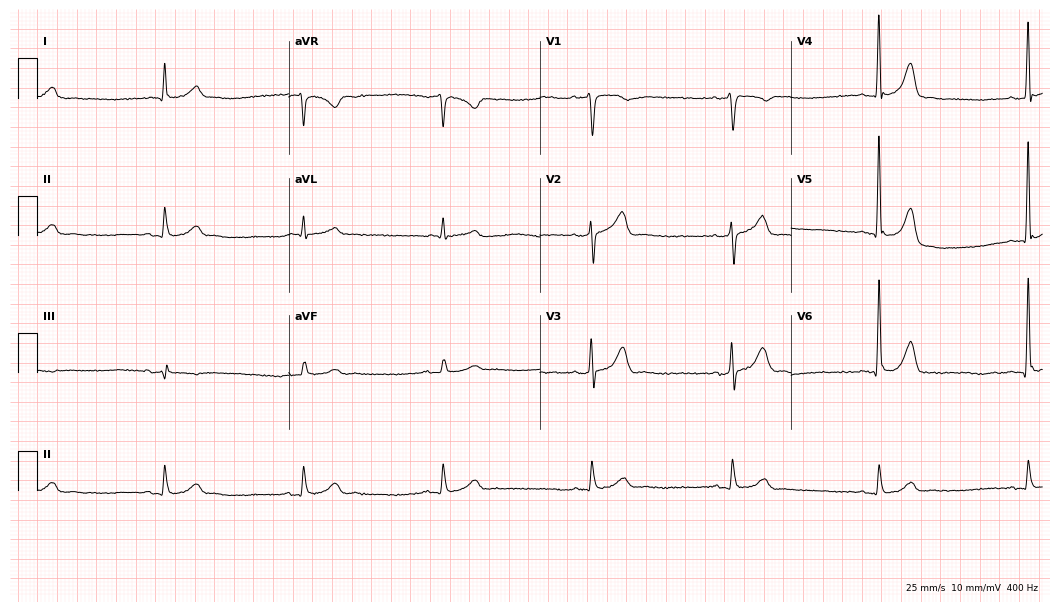
Resting 12-lead electrocardiogram (10.2-second recording at 400 Hz). Patient: a 68-year-old man. The tracing shows sinus bradycardia (a sinus rate of 50 beats per minute or less).